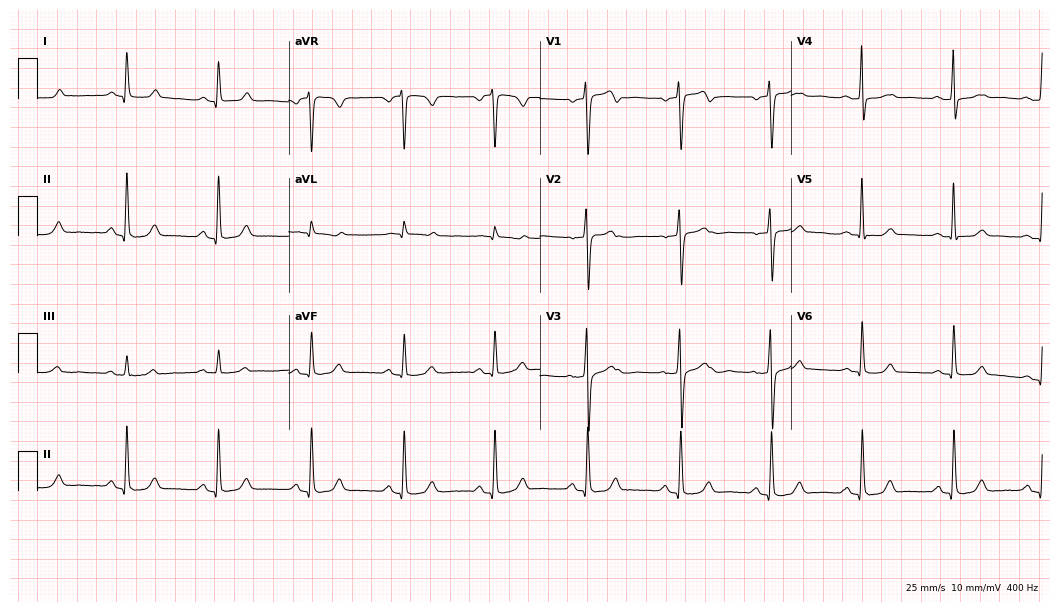
Standard 12-lead ECG recorded from a female patient, 45 years old. None of these six findings is recorded: first-degree AV block, right bundle branch block, left bundle branch block, sinus bradycardia, atrial fibrillation, sinus tachycardia. Findings outside these six are not listed.